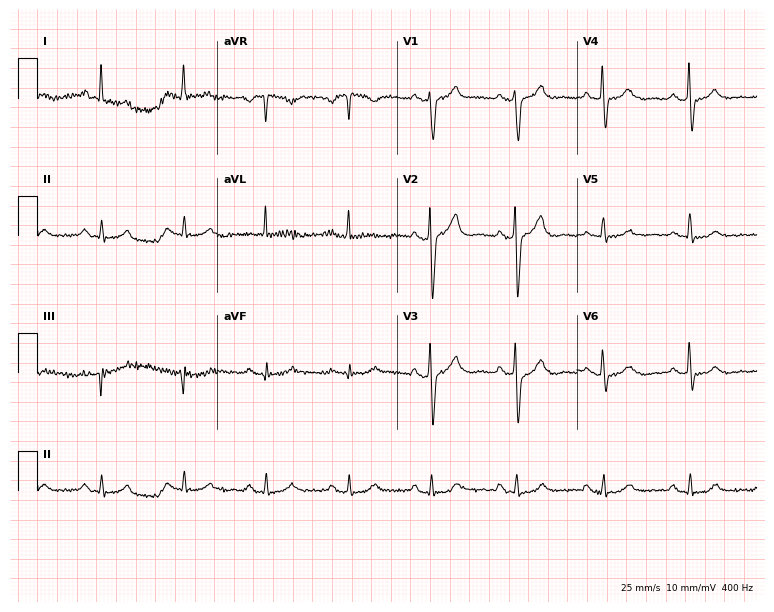
Resting 12-lead electrocardiogram. Patient: a man, 75 years old. Read as a normal ECG.